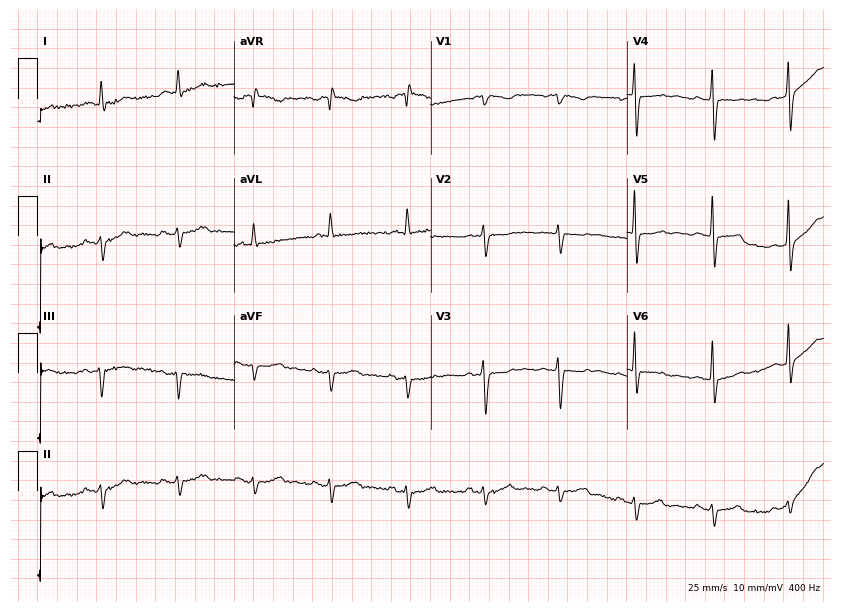
Electrocardiogram, a female patient, 66 years old. Of the six screened findings (first-degree AV block, right bundle branch block (RBBB), left bundle branch block (LBBB), sinus bradycardia, atrial fibrillation (AF), sinus tachycardia), none is recorded.